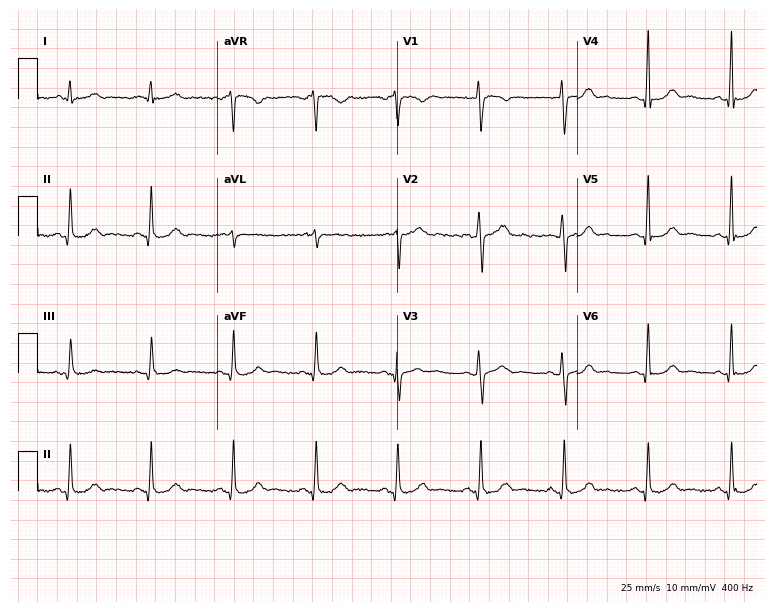
ECG — a male patient, 48 years old. Labelled as a normal ECG.